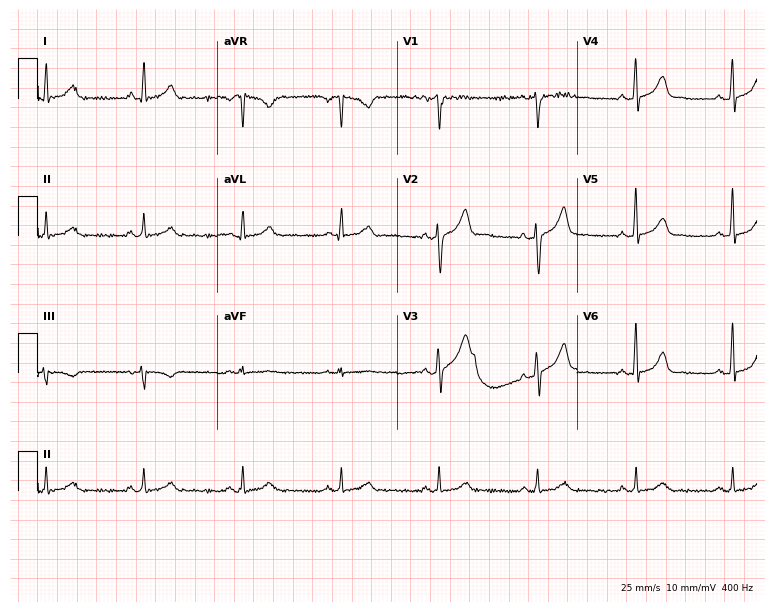
ECG — a 51-year-old male patient. Screened for six findings — first-degree AV block, right bundle branch block, left bundle branch block, sinus bradycardia, atrial fibrillation, sinus tachycardia — none is recorded. Findings outside these six are not listed.